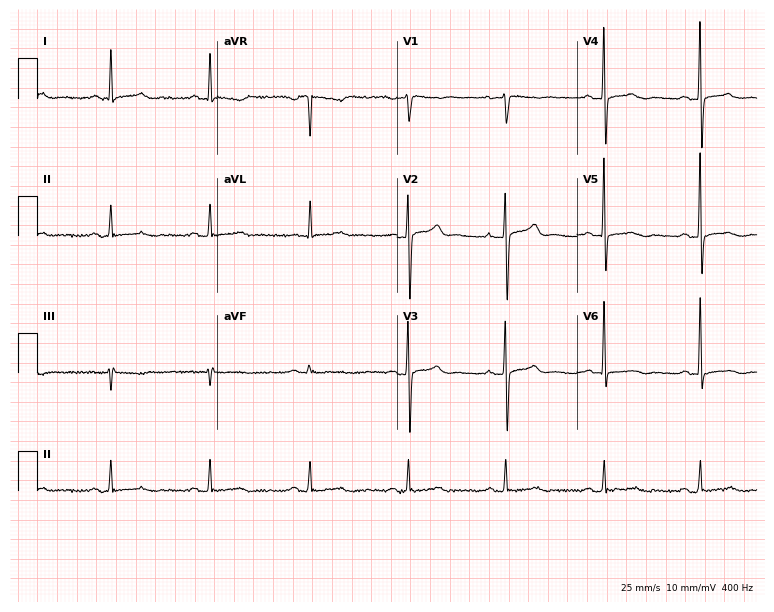
Electrocardiogram (7.3-second recording at 400 Hz), a woman, 52 years old. Of the six screened findings (first-degree AV block, right bundle branch block (RBBB), left bundle branch block (LBBB), sinus bradycardia, atrial fibrillation (AF), sinus tachycardia), none is recorded. Only these six findings were labelled.